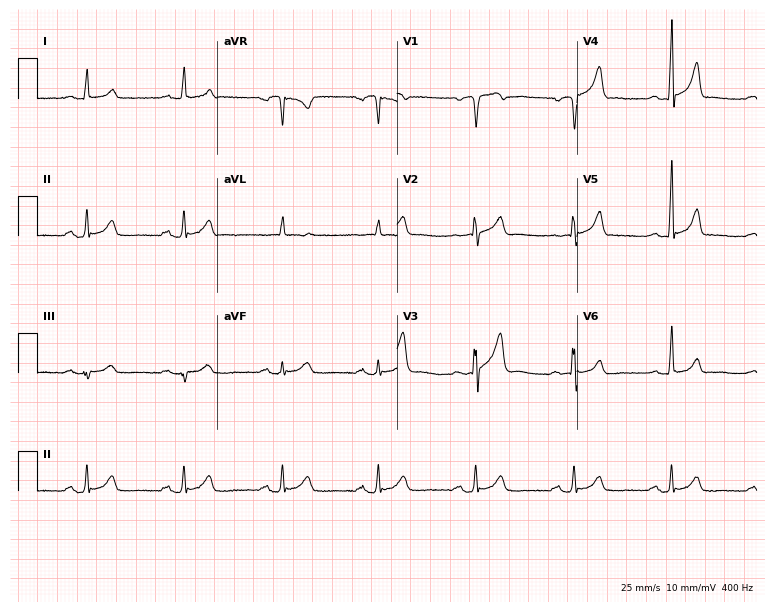
Standard 12-lead ECG recorded from a 70-year-old male patient (7.3-second recording at 400 Hz). Read as a normal ECG.